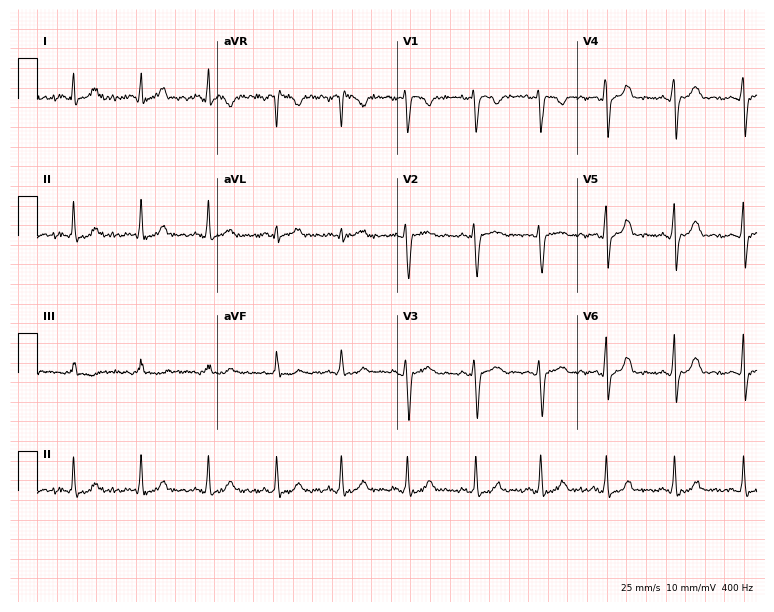
Standard 12-lead ECG recorded from a female, 30 years old. None of these six findings is recorded: first-degree AV block, right bundle branch block, left bundle branch block, sinus bradycardia, atrial fibrillation, sinus tachycardia. Other findings, if any, are not listed.